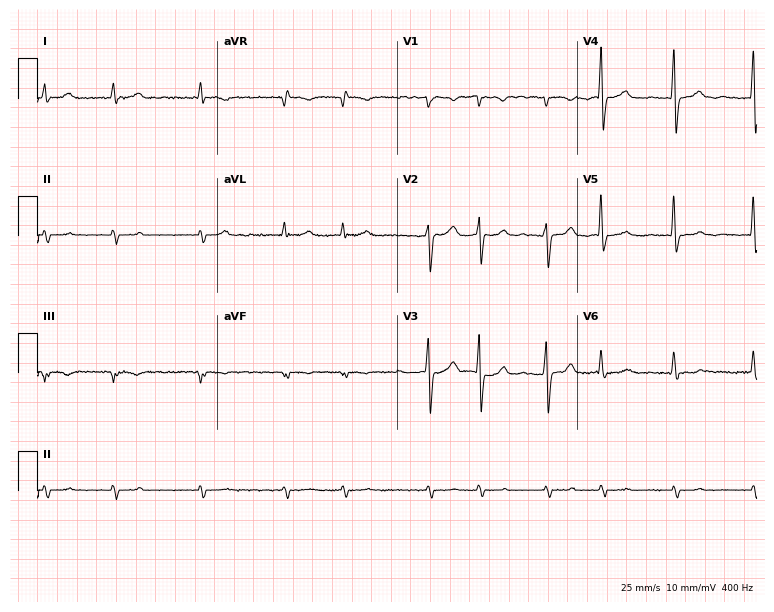
ECG (7.3-second recording at 400 Hz) — a 73-year-old man. Findings include atrial fibrillation.